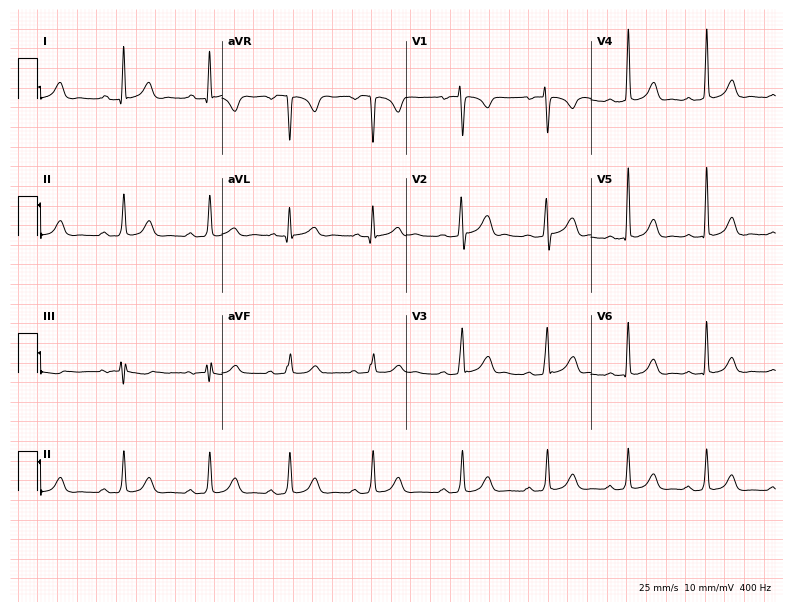
Resting 12-lead electrocardiogram. Patient: a female, 27 years old. Read as a normal ECG.